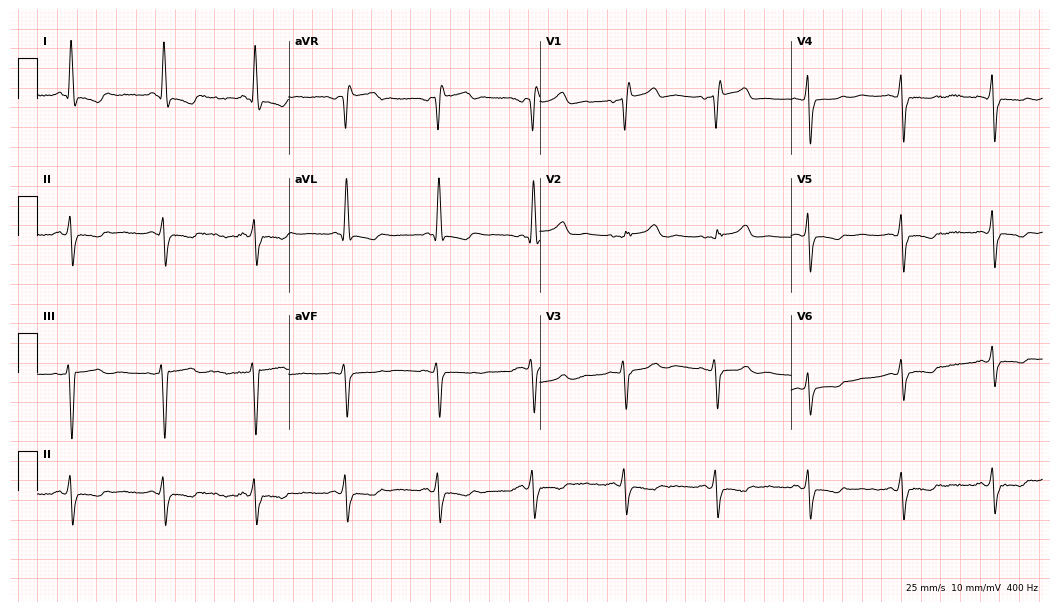
Electrocardiogram, an 82-year-old female patient. Of the six screened findings (first-degree AV block, right bundle branch block, left bundle branch block, sinus bradycardia, atrial fibrillation, sinus tachycardia), none is recorded. Findings outside these six are not listed.